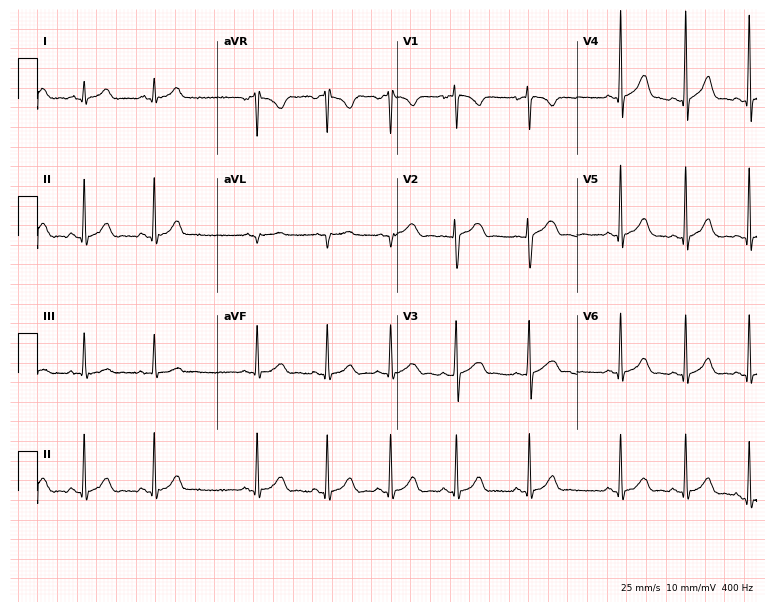
Electrocardiogram, a female patient, 17 years old. Overall reading on record: normal ECG.